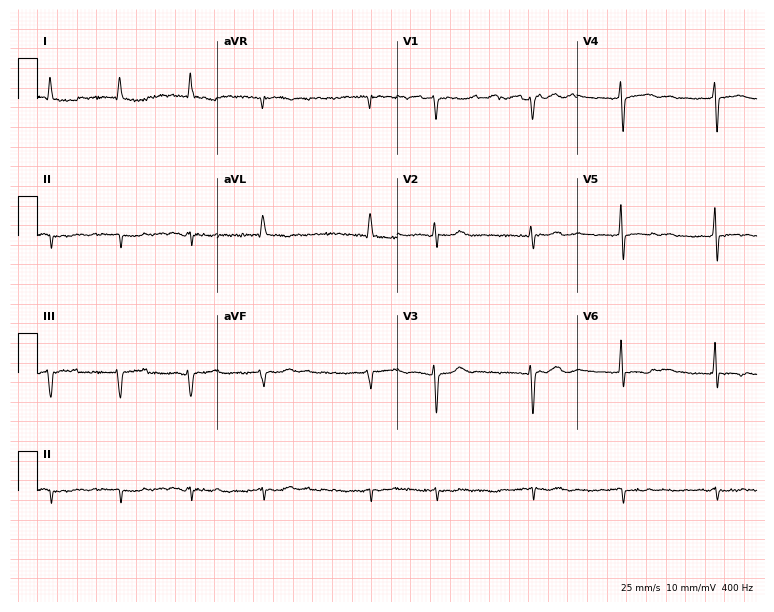
12-lead ECG (7.3-second recording at 400 Hz) from a female, 78 years old. Findings include atrial fibrillation (AF).